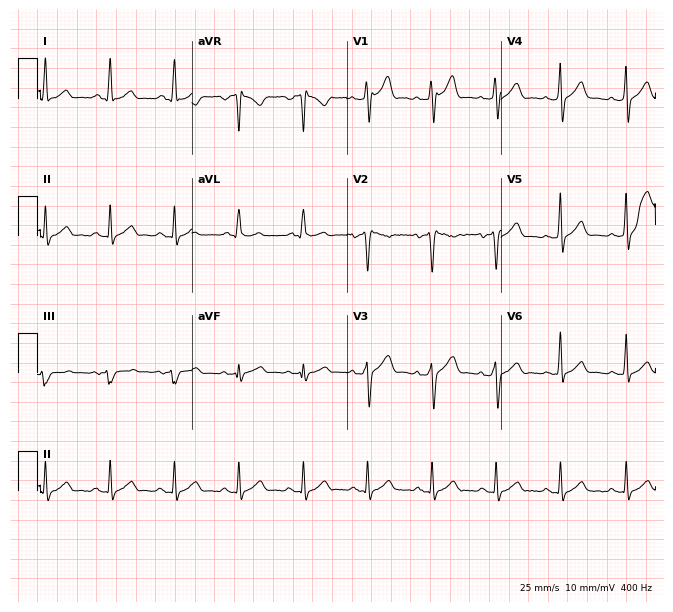
ECG (6.3-second recording at 400 Hz) — a female patient, 31 years old. Screened for six findings — first-degree AV block, right bundle branch block (RBBB), left bundle branch block (LBBB), sinus bradycardia, atrial fibrillation (AF), sinus tachycardia — none is recorded.